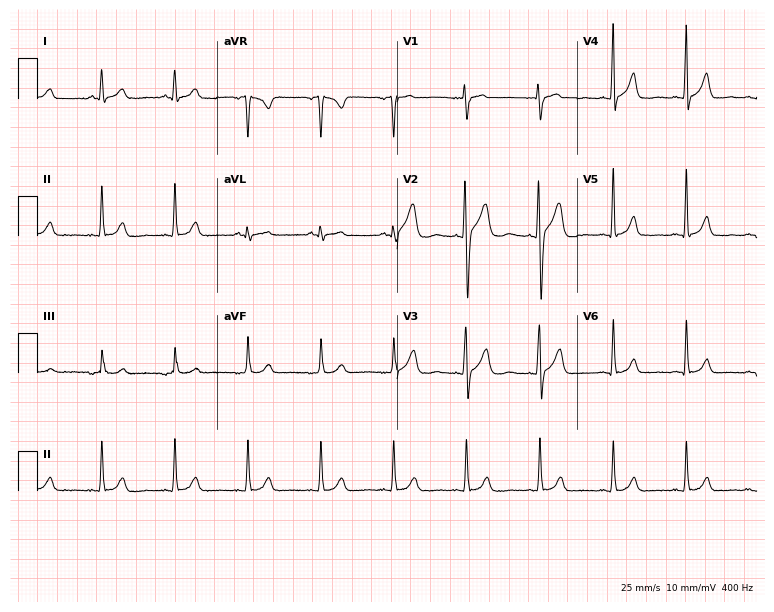
12-lead ECG from a man, 39 years old (7.3-second recording at 400 Hz). Recorded interpretation: within normal limits.